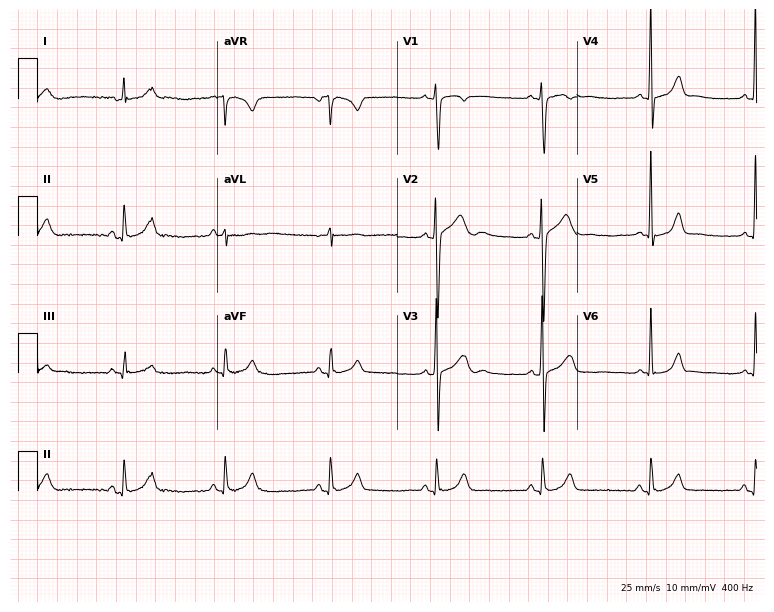
12-lead ECG from a male patient, 17 years old. Recorded interpretation: within normal limits.